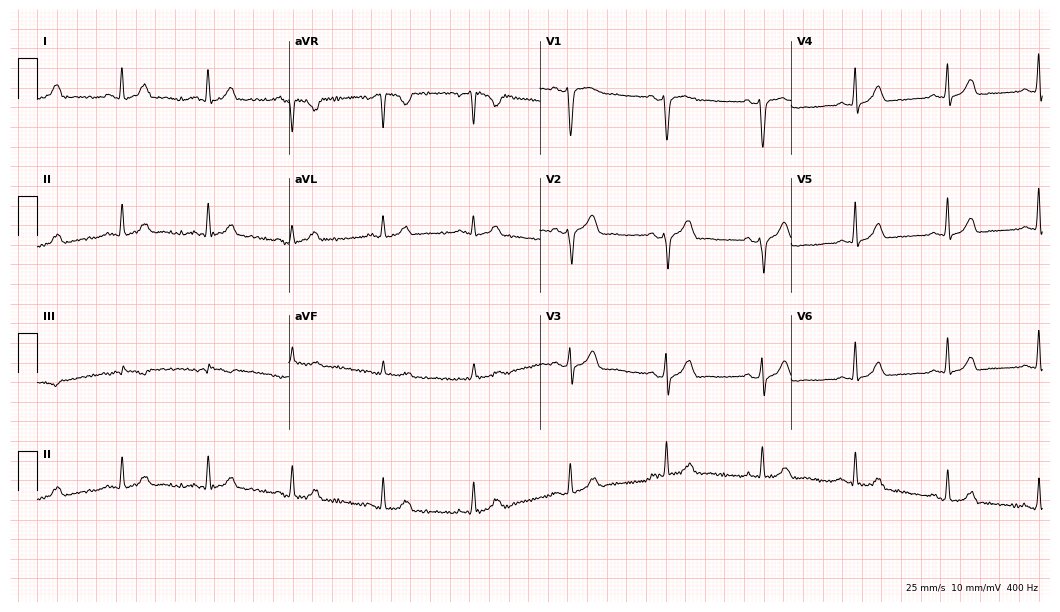
Standard 12-lead ECG recorded from a woman, 44 years old. Read as a normal ECG.